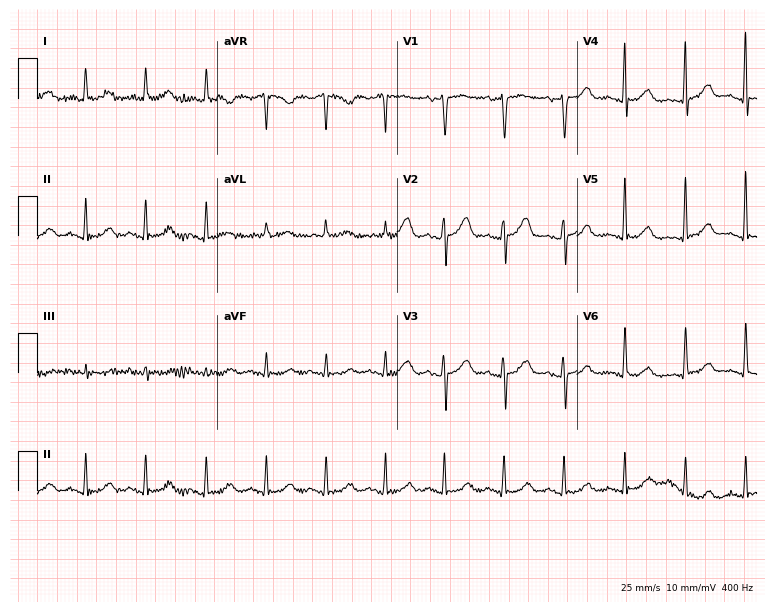
Electrocardiogram (7.3-second recording at 400 Hz), a 72-year-old woman. Of the six screened findings (first-degree AV block, right bundle branch block (RBBB), left bundle branch block (LBBB), sinus bradycardia, atrial fibrillation (AF), sinus tachycardia), none is recorded. Only these six findings were labelled.